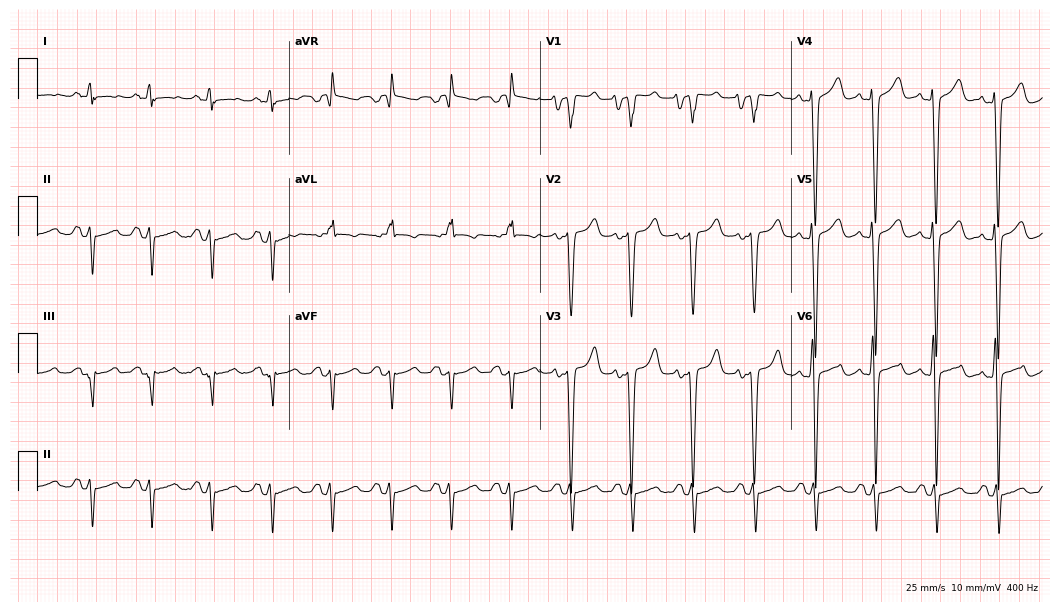
12-lead ECG from a male patient, 60 years old. No first-degree AV block, right bundle branch block, left bundle branch block, sinus bradycardia, atrial fibrillation or sinus tachycardia recorded for this tracing.